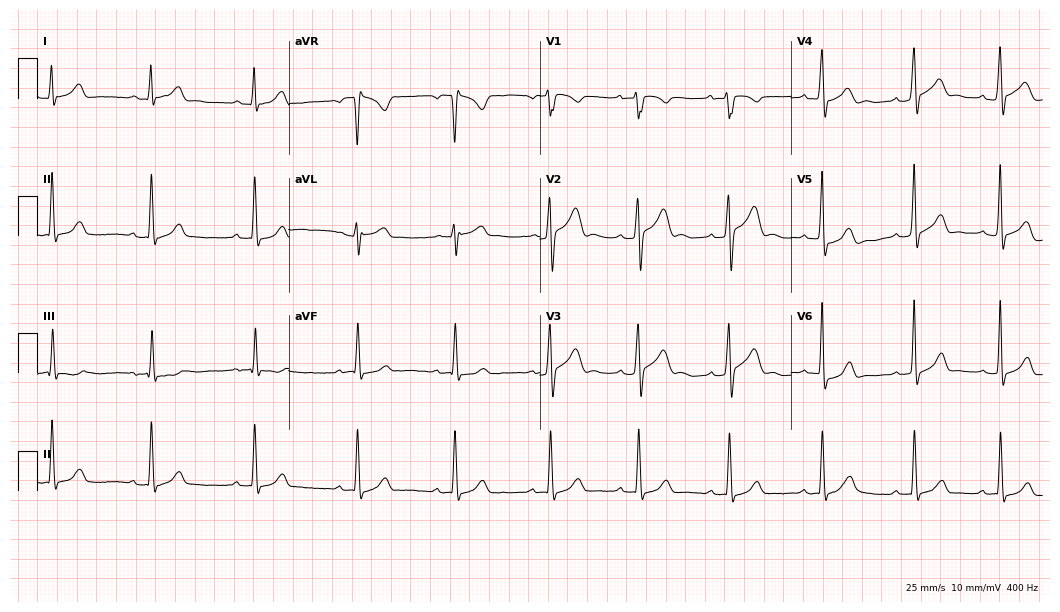
Resting 12-lead electrocardiogram. Patient: a 23-year-old male. None of these six findings is recorded: first-degree AV block, right bundle branch block, left bundle branch block, sinus bradycardia, atrial fibrillation, sinus tachycardia.